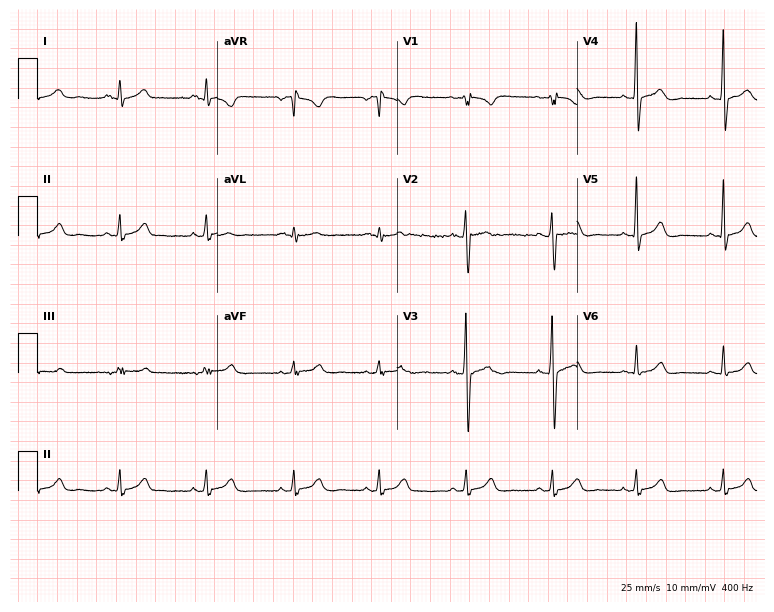
Standard 12-lead ECG recorded from a man, 41 years old. Read as a normal ECG.